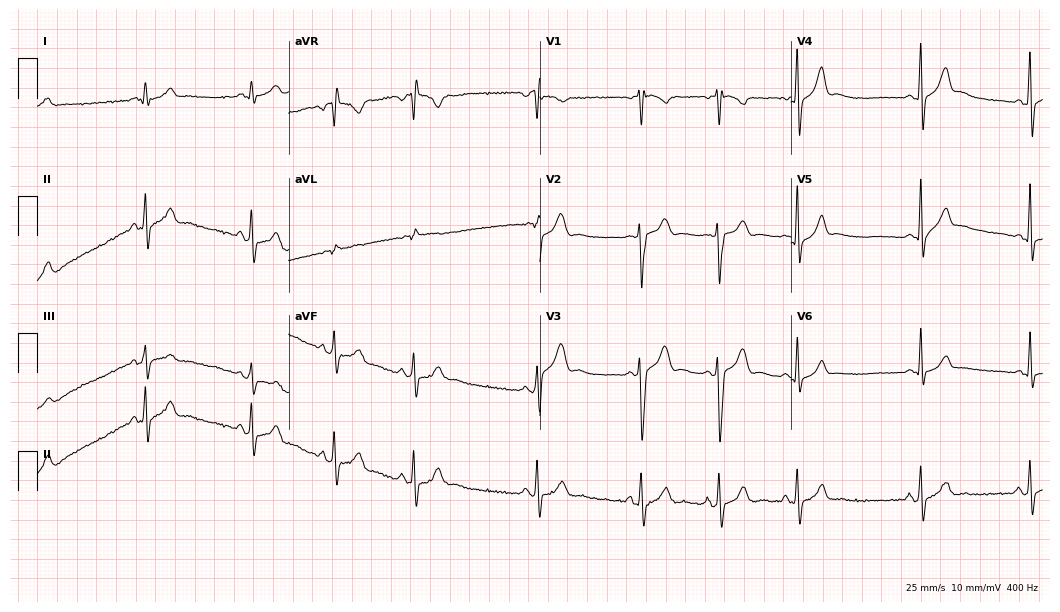
ECG — a male patient, 17 years old. Labelled as a normal ECG.